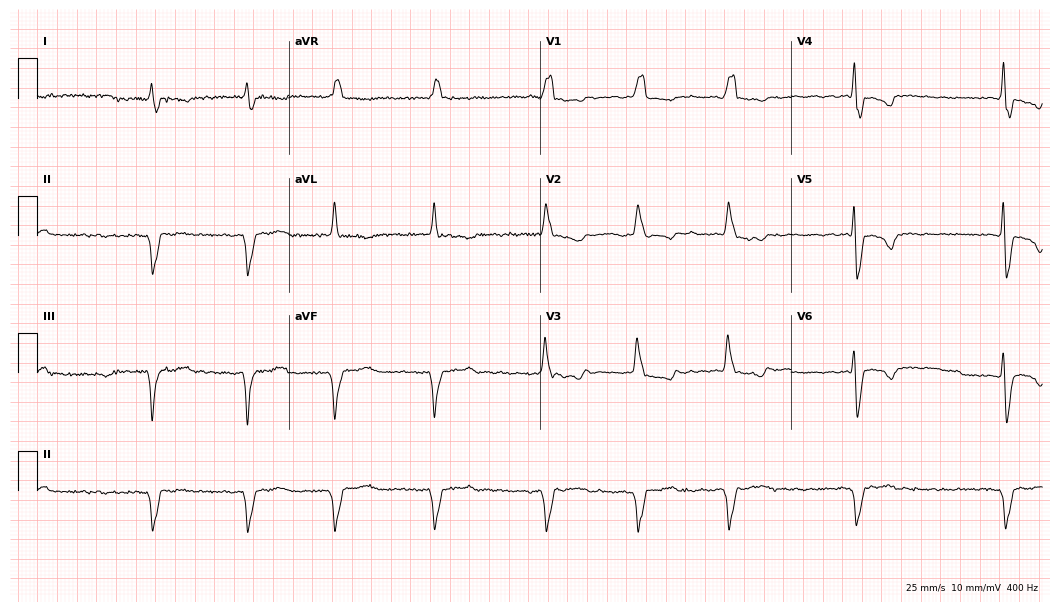
12-lead ECG from an 85-year-old male (10.2-second recording at 400 Hz). No first-degree AV block, right bundle branch block (RBBB), left bundle branch block (LBBB), sinus bradycardia, atrial fibrillation (AF) or sinus tachycardia recorded for this tracing. Other findings, if any, are not listed.